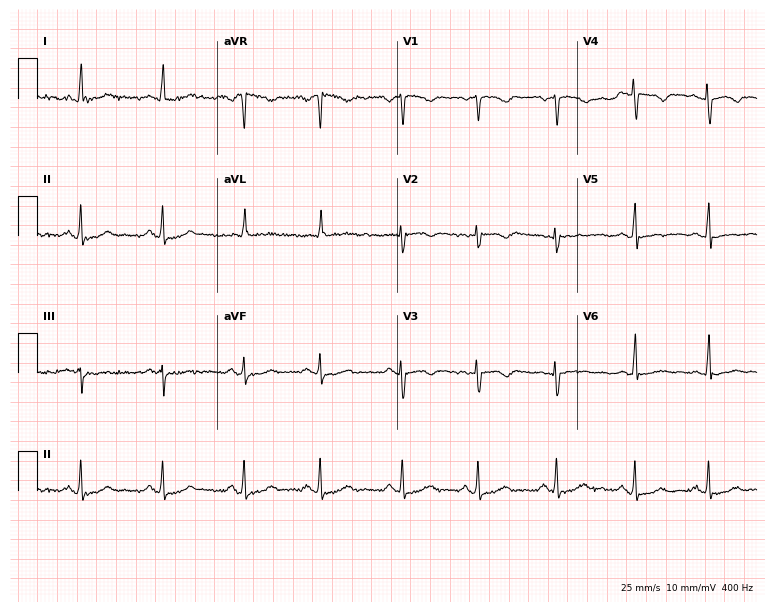
ECG (7.3-second recording at 400 Hz) — a woman, 44 years old. Screened for six findings — first-degree AV block, right bundle branch block, left bundle branch block, sinus bradycardia, atrial fibrillation, sinus tachycardia — none is recorded.